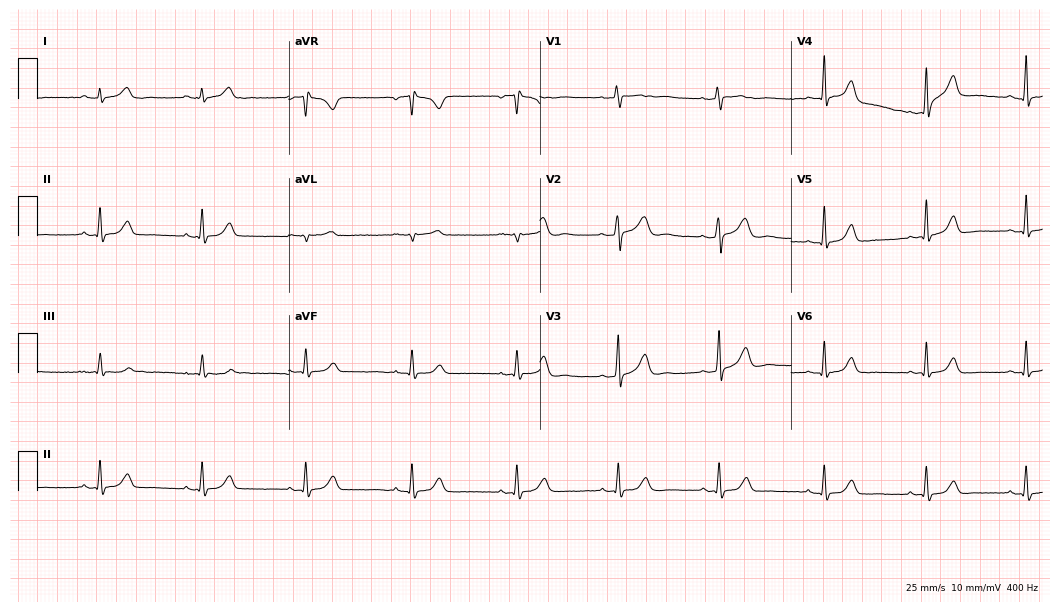
12-lead ECG from a female, 38 years old. Labelled as a normal ECG.